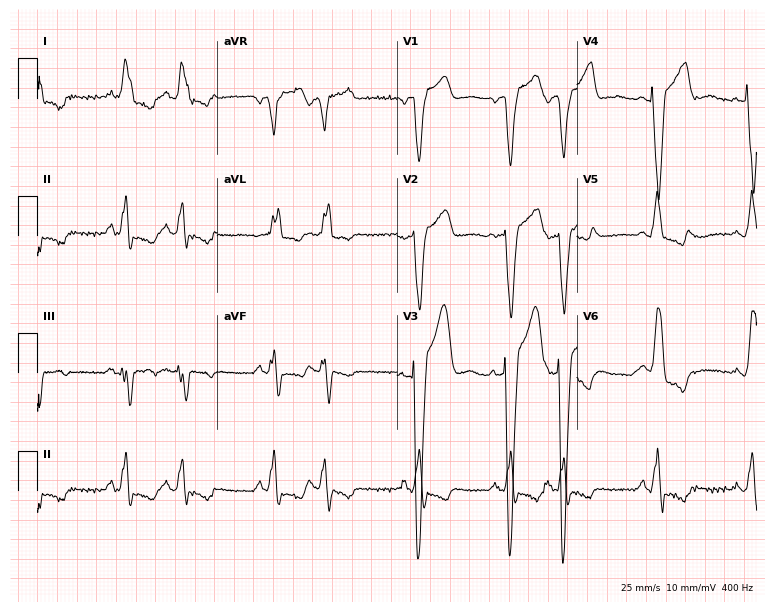
Electrocardiogram (7.3-second recording at 400 Hz), a male, 71 years old. Of the six screened findings (first-degree AV block, right bundle branch block, left bundle branch block, sinus bradycardia, atrial fibrillation, sinus tachycardia), none is recorded.